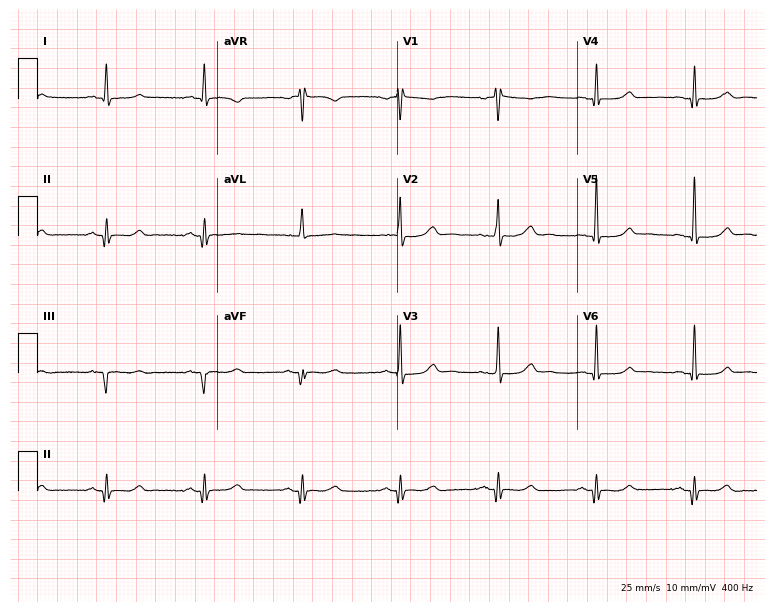
12-lead ECG from a 40-year-old woman. Labelled as a normal ECG.